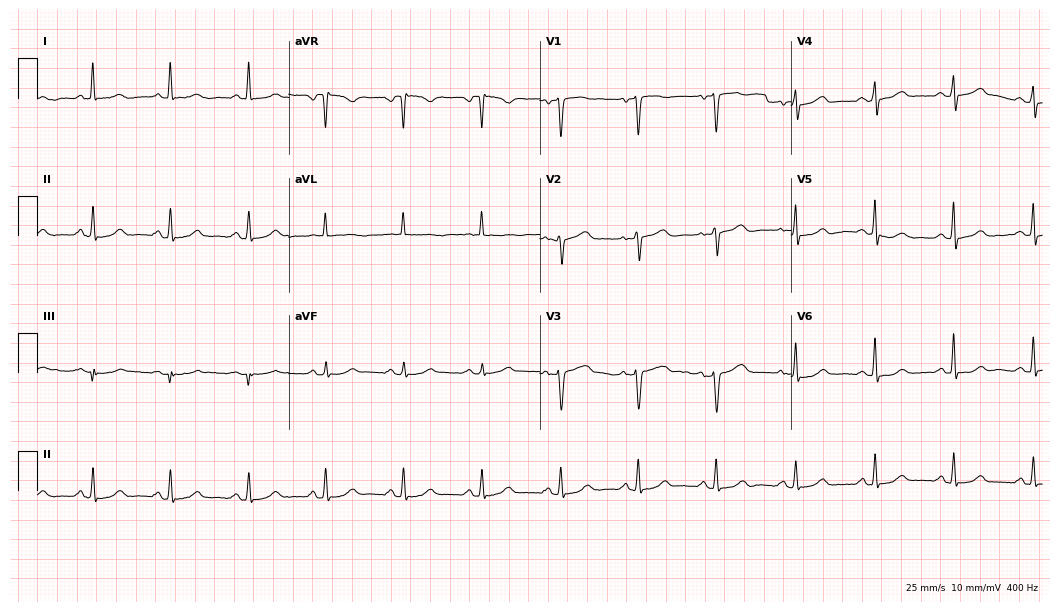
Standard 12-lead ECG recorded from a woman, 69 years old (10.2-second recording at 400 Hz). None of these six findings is recorded: first-degree AV block, right bundle branch block (RBBB), left bundle branch block (LBBB), sinus bradycardia, atrial fibrillation (AF), sinus tachycardia.